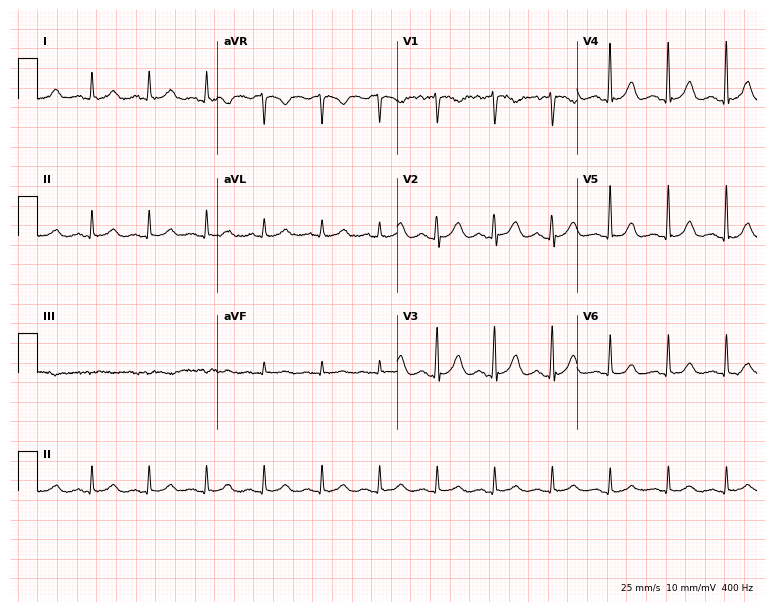
12-lead ECG (7.3-second recording at 400 Hz) from a female, 55 years old. Findings include sinus tachycardia (a sinus rate of 100 beats per minute or more).